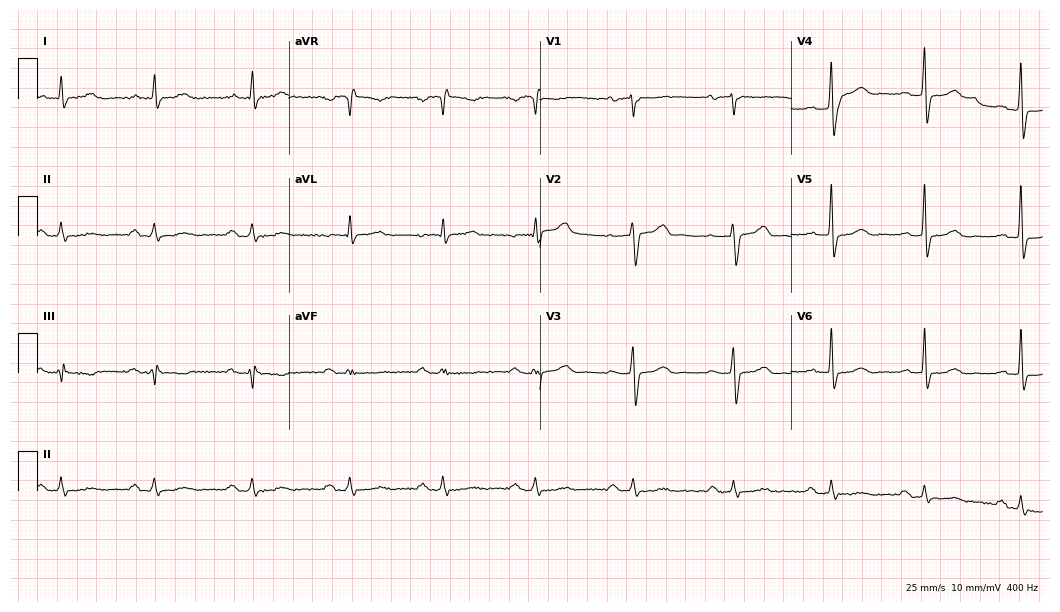
Electrocardiogram (10.2-second recording at 400 Hz), a 63-year-old male patient. Of the six screened findings (first-degree AV block, right bundle branch block (RBBB), left bundle branch block (LBBB), sinus bradycardia, atrial fibrillation (AF), sinus tachycardia), none is recorded. Findings outside these six are not listed.